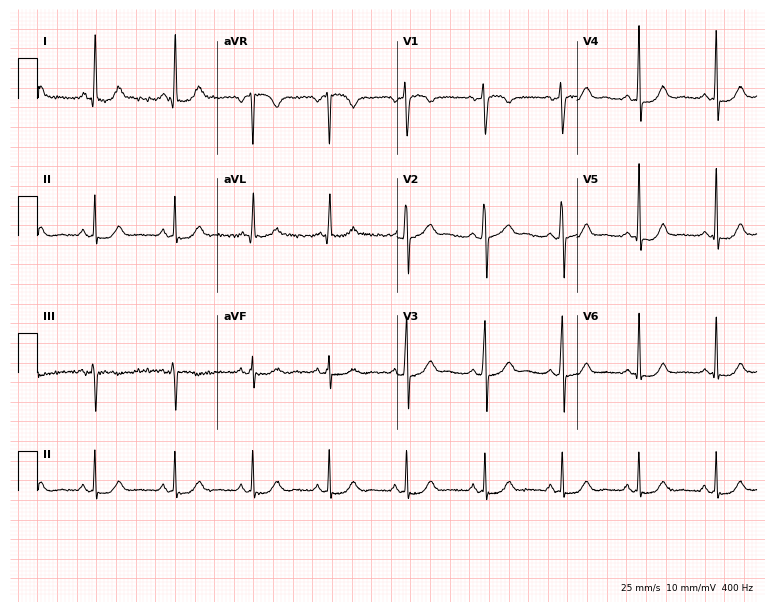
12-lead ECG from a woman, 47 years old. Labelled as a normal ECG.